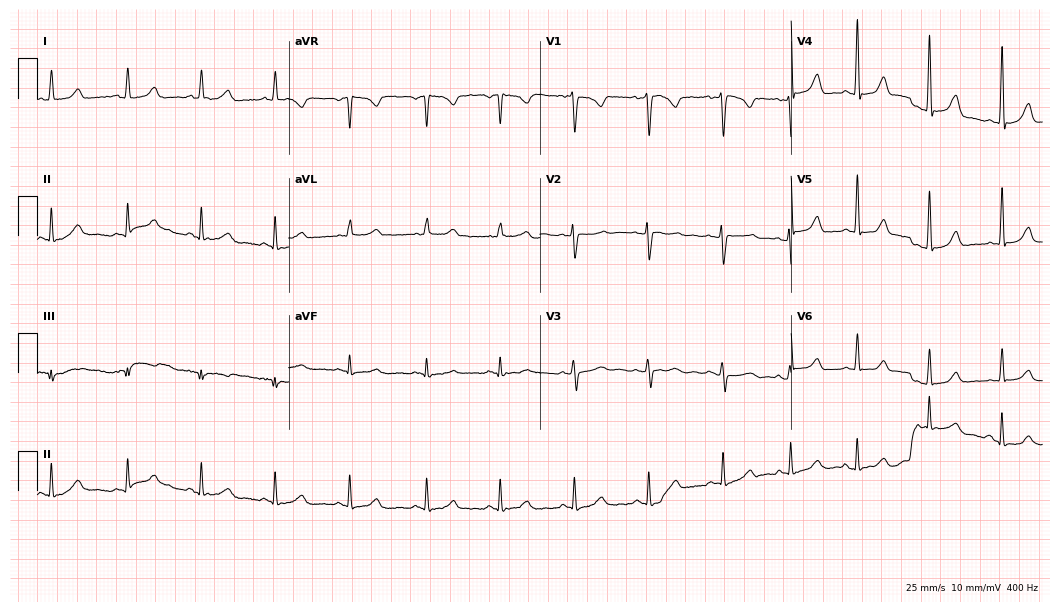
ECG (10.2-second recording at 400 Hz) — a 41-year-old female. Labelled as a normal ECG.